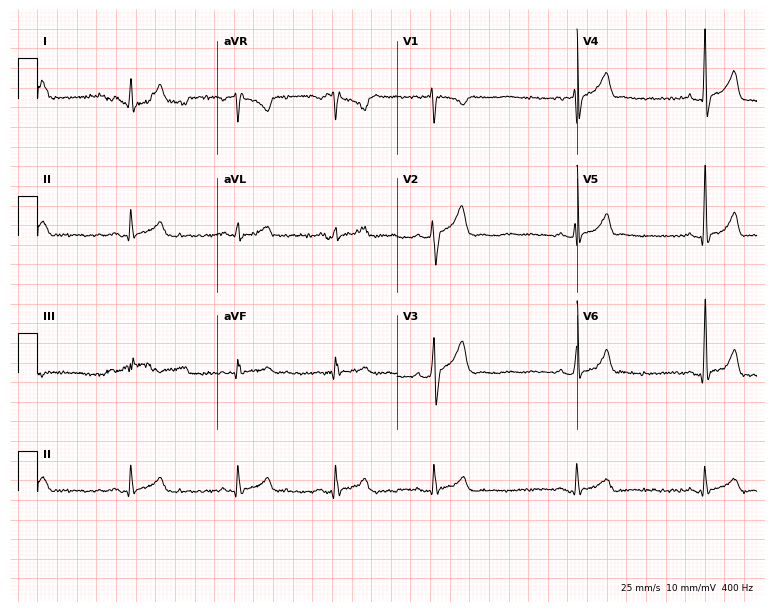
Resting 12-lead electrocardiogram (7.3-second recording at 400 Hz). Patient: a man, 23 years old. None of these six findings is recorded: first-degree AV block, right bundle branch block, left bundle branch block, sinus bradycardia, atrial fibrillation, sinus tachycardia.